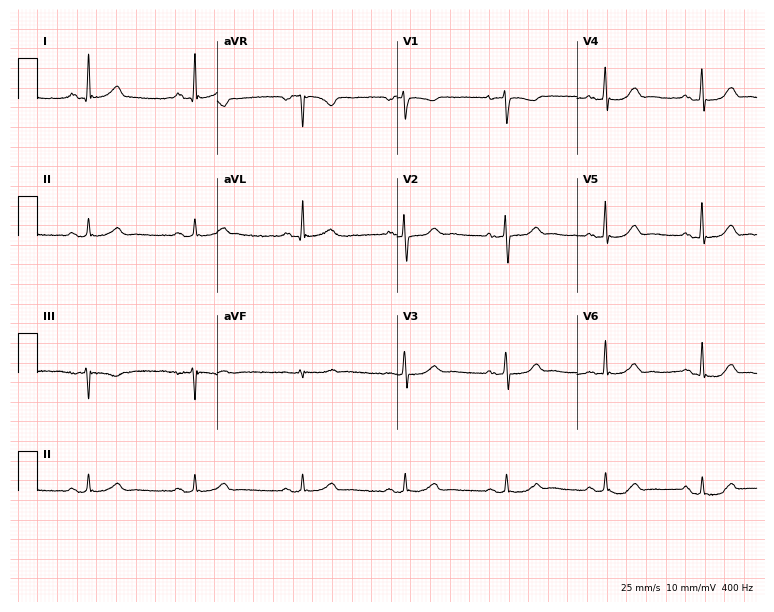
Resting 12-lead electrocardiogram (7.3-second recording at 400 Hz). Patient: a 42-year-old female. Read as a normal ECG.